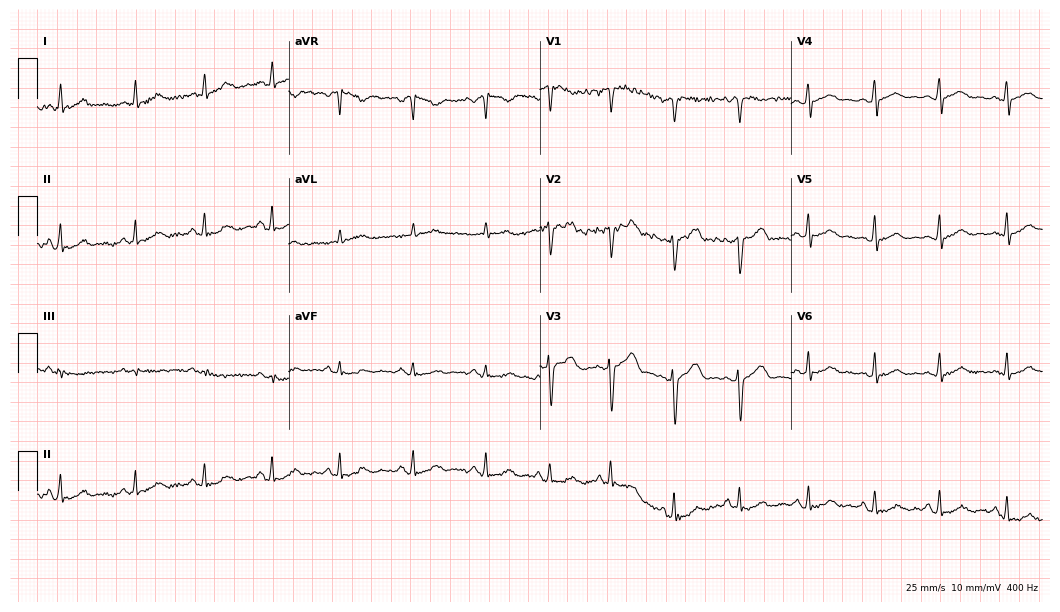
12-lead ECG (10.2-second recording at 400 Hz) from a 24-year-old female patient. Screened for six findings — first-degree AV block, right bundle branch block (RBBB), left bundle branch block (LBBB), sinus bradycardia, atrial fibrillation (AF), sinus tachycardia — none is recorded.